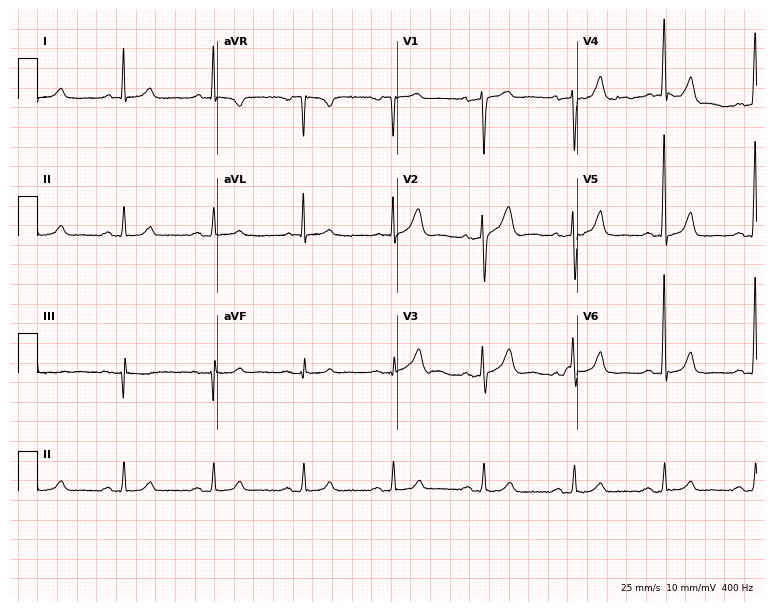
12-lead ECG from a man, 68 years old (7.3-second recording at 400 Hz). Recorded interpretation: within normal limits.